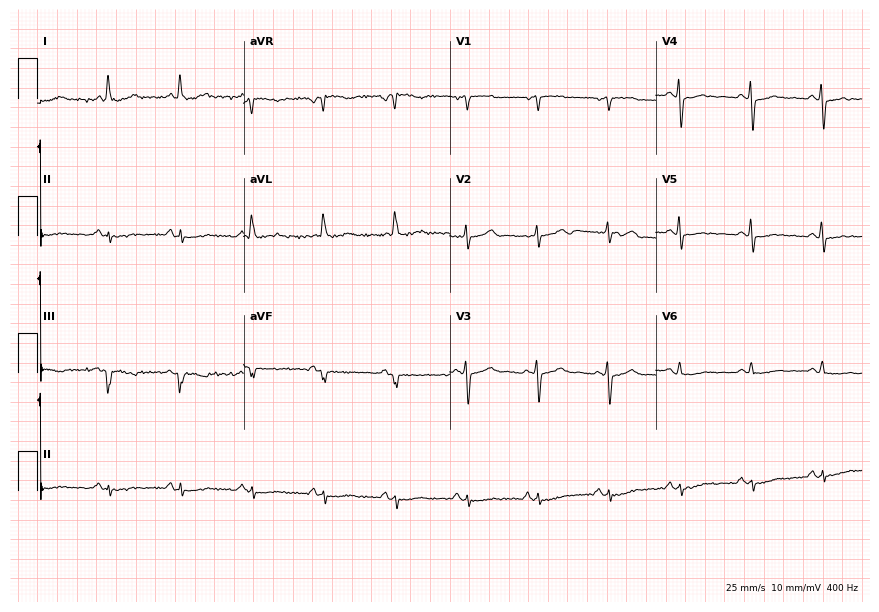
Standard 12-lead ECG recorded from a woman, 60 years old. None of these six findings is recorded: first-degree AV block, right bundle branch block (RBBB), left bundle branch block (LBBB), sinus bradycardia, atrial fibrillation (AF), sinus tachycardia.